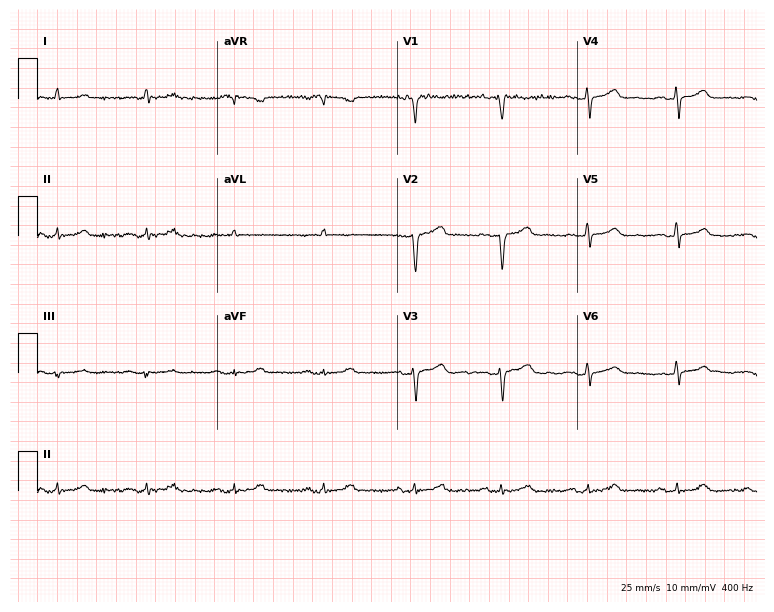
12-lead ECG (7.3-second recording at 400 Hz) from a male, 58 years old. Screened for six findings — first-degree AV block, right bundle branch block, left bundle branch block, sinus bradycardia, atrial fibrillation, sinus tachycardia — none is recorded.